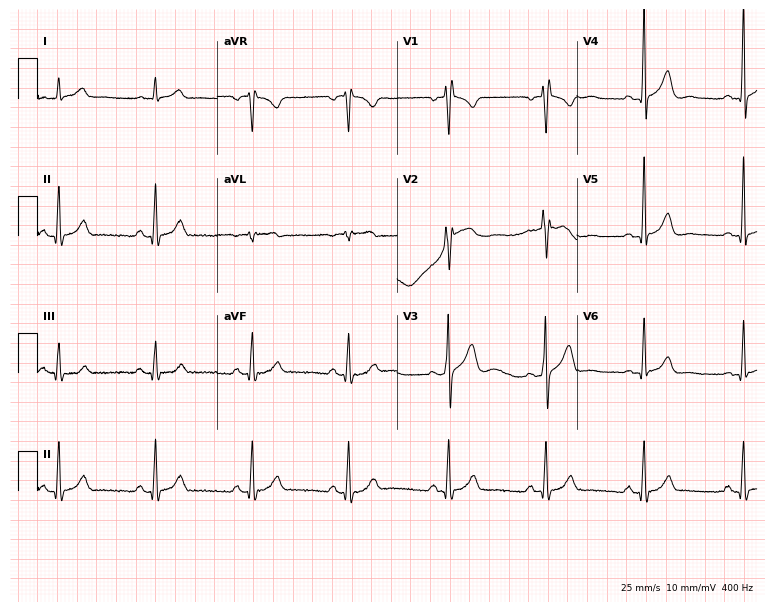
12-lead ECG from a male, 43 years old (7.3-second recording at 400 Hz). No first-degree AV block, right bundle branch block (RBBB), left bundle branch block (LBBB), sinus bradycardia, atrial fibrillation (AF) or sinus tachycardia recorded for this tracing. Other findings, if any, are not listed.